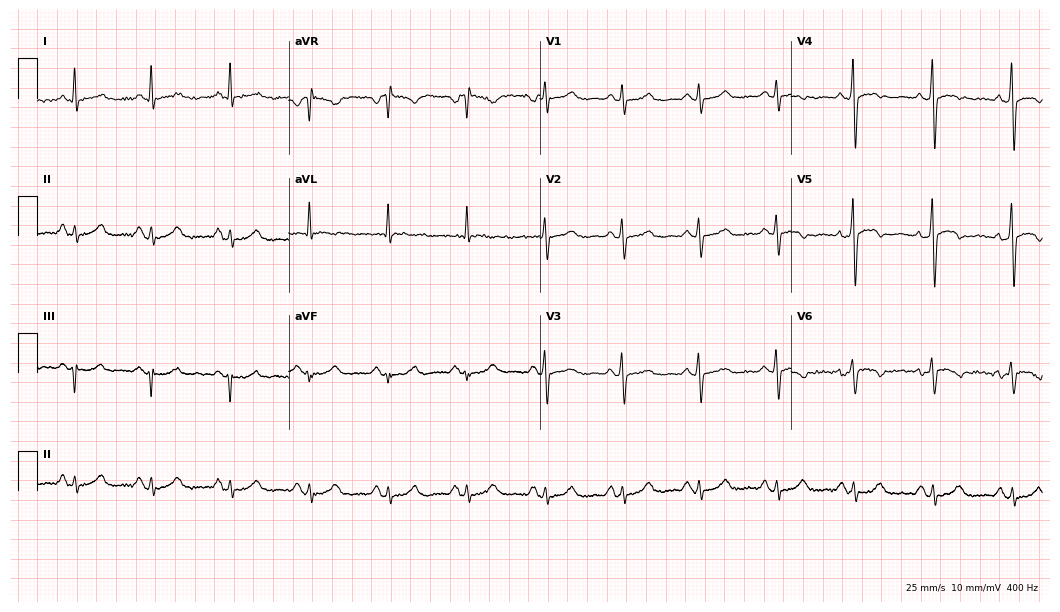
ECG — a female, 63 years old. Screened for six findings — first-degree AV block, right bundle branch block (RBBB), left bundle branch block (LBBB), sinus bradycardia, atrial fibrillation (AF), sinus tachycardia — none is recorded.